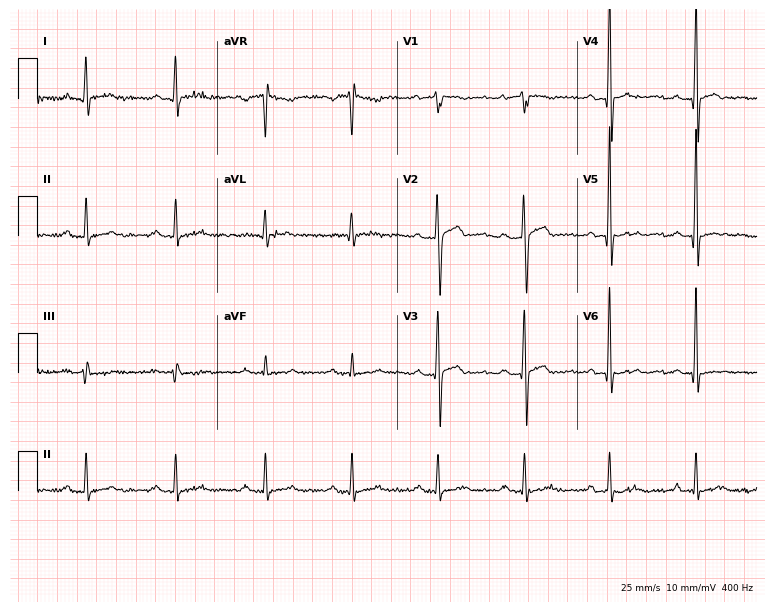
12-lead ECG from a 37-year-old man. No first-degree AV block, right bundle branch block (RBBB), left bundle branch block (LBBB), sinus bradycardia, atrial fibrillation (AF) or sinus tachycardia recorded for this tracing.